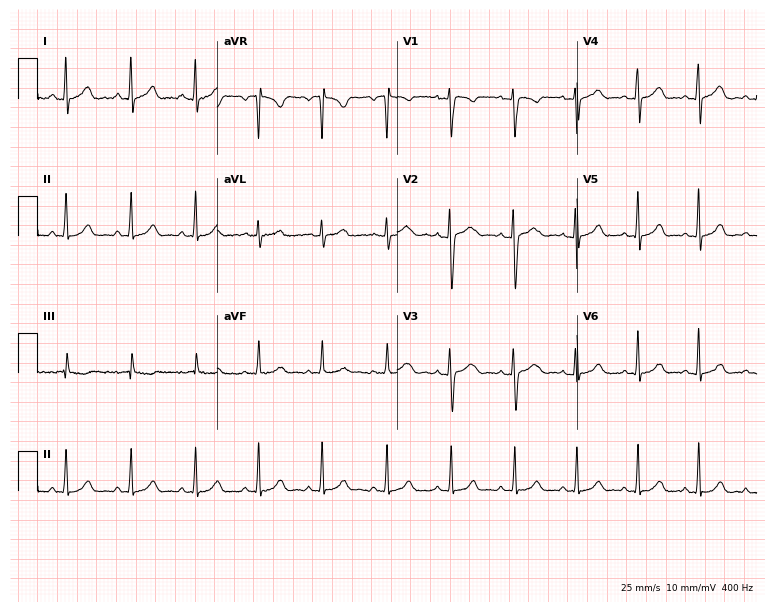
ECG (7.3-second recording at 400 Hz) — a 29-year-old woman. Labelled as a normal ECG.